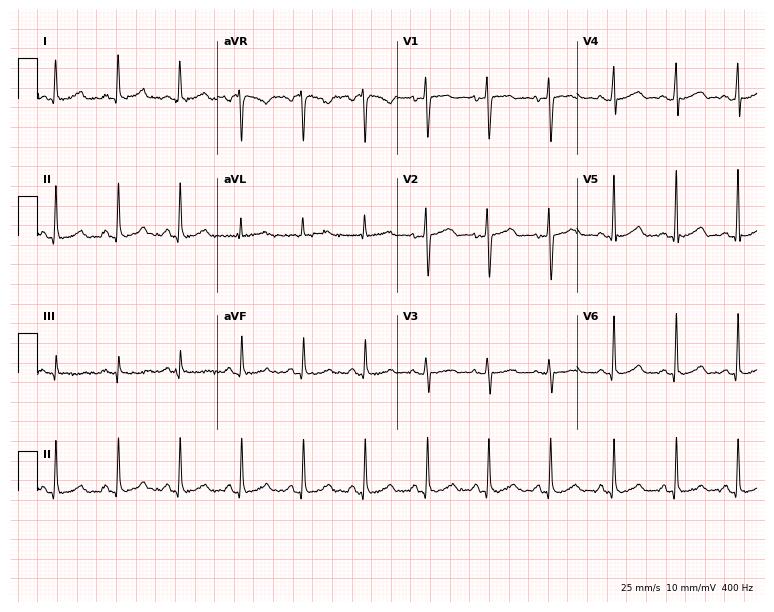
Resting 12-lead electrocardiogram (7.3-second recording at 400 Hz). Patient: a 43-year-old woman. None of these six findings is recorded: first-degree AV block, right bundle branch block (RBBB), left bundle branch block (LBBB), sinus bradycardia, atrial fibrillation (AF), sinus tachycardia. Findings outside these six are not listed.